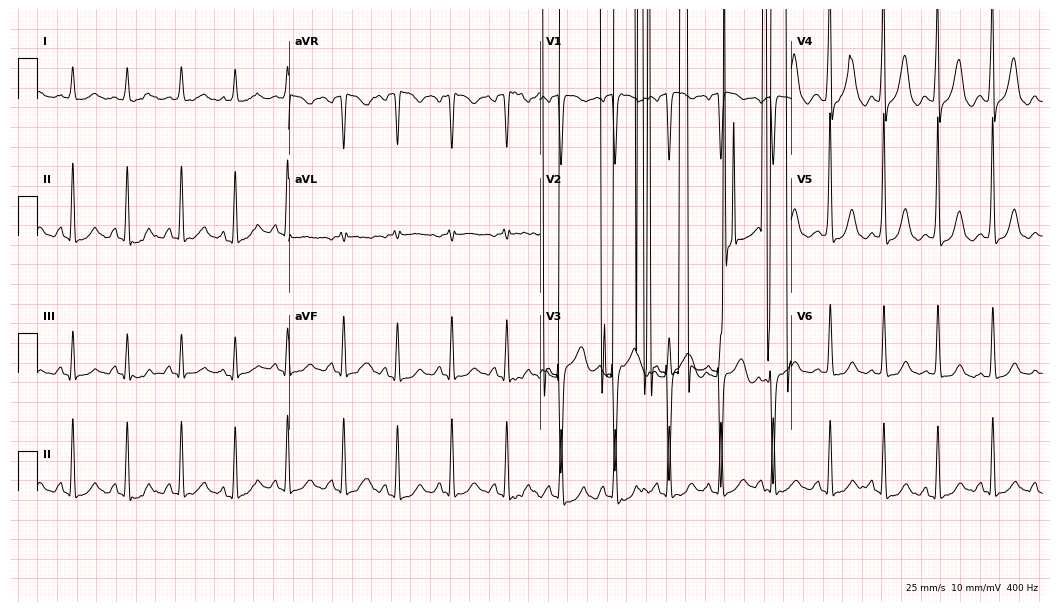
Electrocardiogram, a female, 79 years old. Interpretation includes atrial fibrillation.